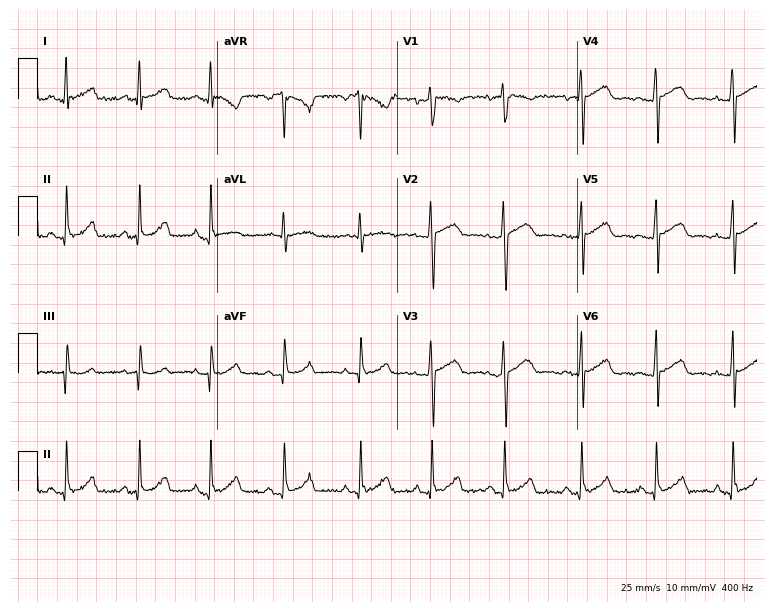
Standard 12-lead ECG recorded from a woman, 18 years old. Read as a normal ECG.